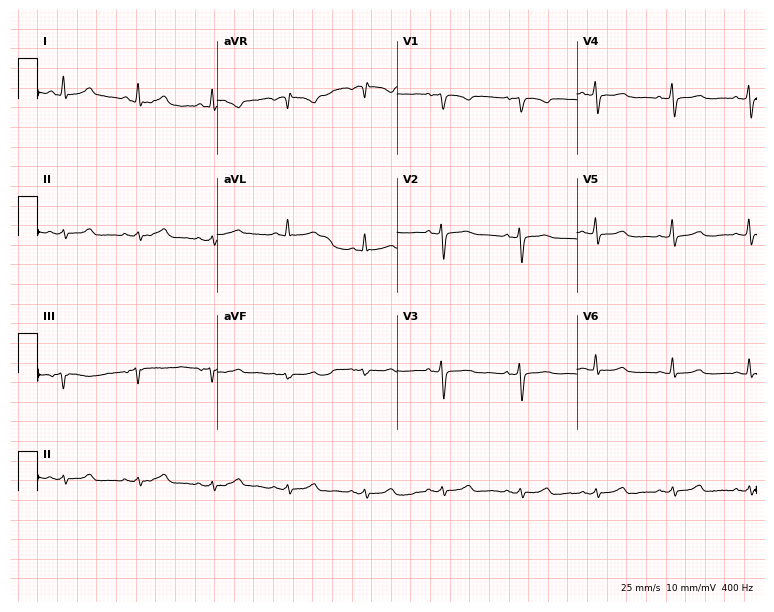
12-lead ECG from a 57-year-old woman (7.3-second recording at 400 Hz). No first-degree AV block, right bundle branch block (RBBB), left bundle branch block (LBBB), sinus bradycardia, atrial fibrillation (AF) or sinus tachycardia recorded for this tracing.